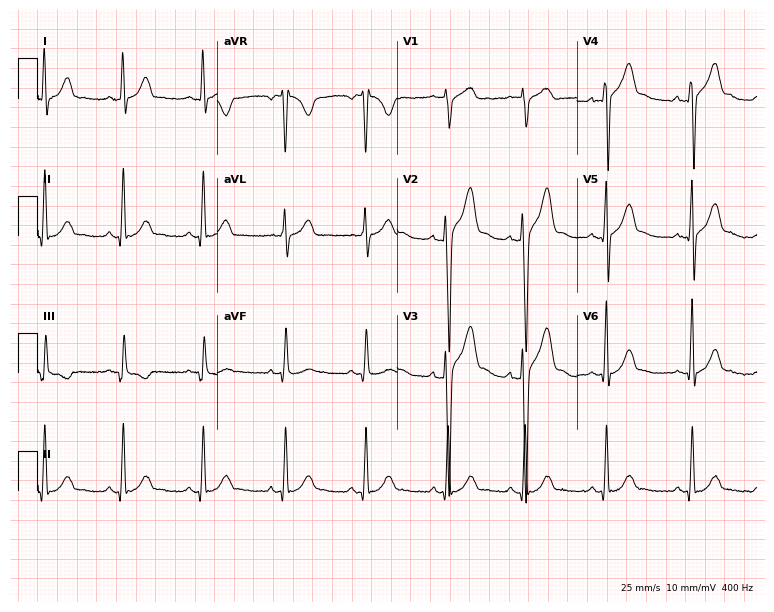
Electrocardiogram, a 24-year-old male. Overall reading on record: normal ECG.